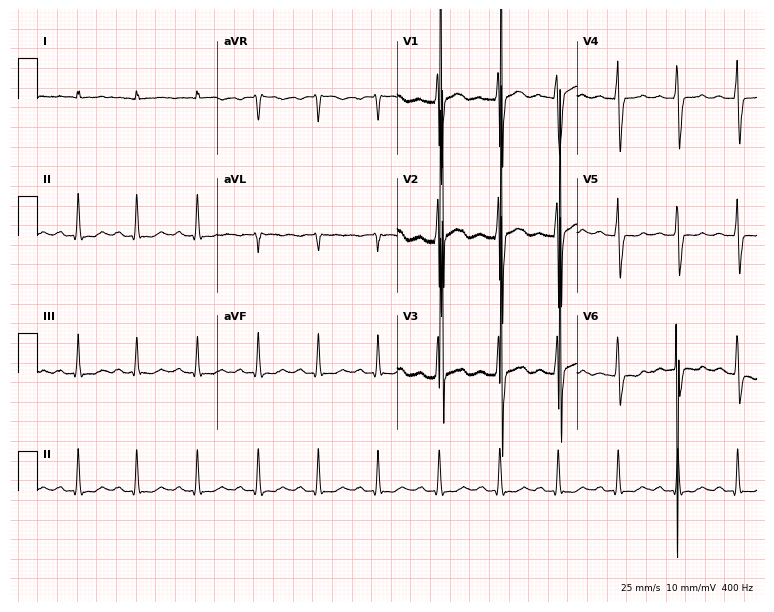
Electrocardiogram, a 17-year-old male patient. Of the six screened findings (first-degree AV block, right bundle branch block (RBBB), left bundle branch block (LBBB), sinus bradycardia, atrial fibrillation (AF), sinus tachycardia), none is recorded.